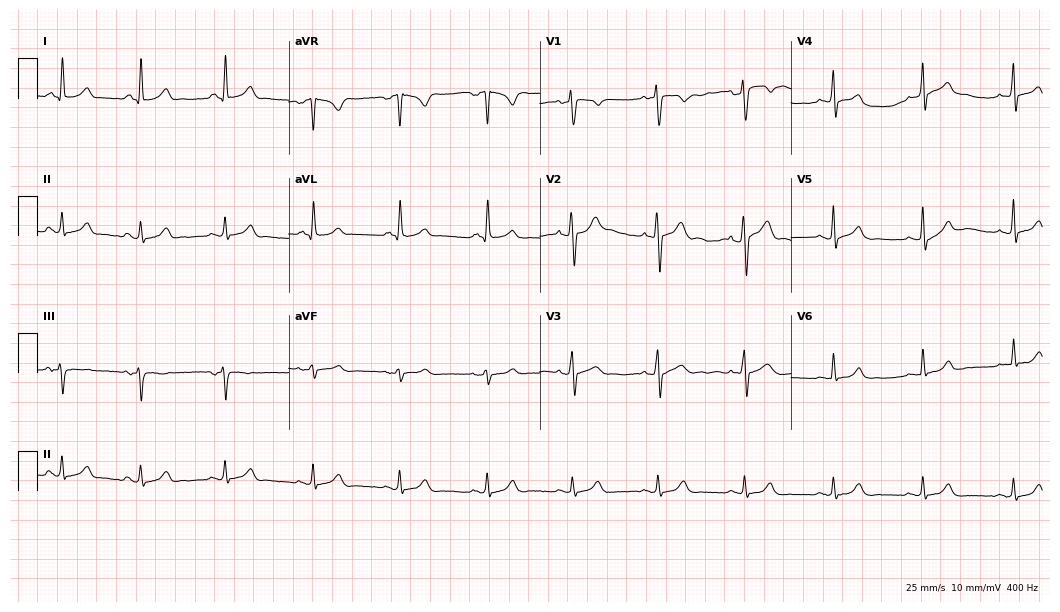
ECG — a 22-year-old male. Labelled as a normal ECG.